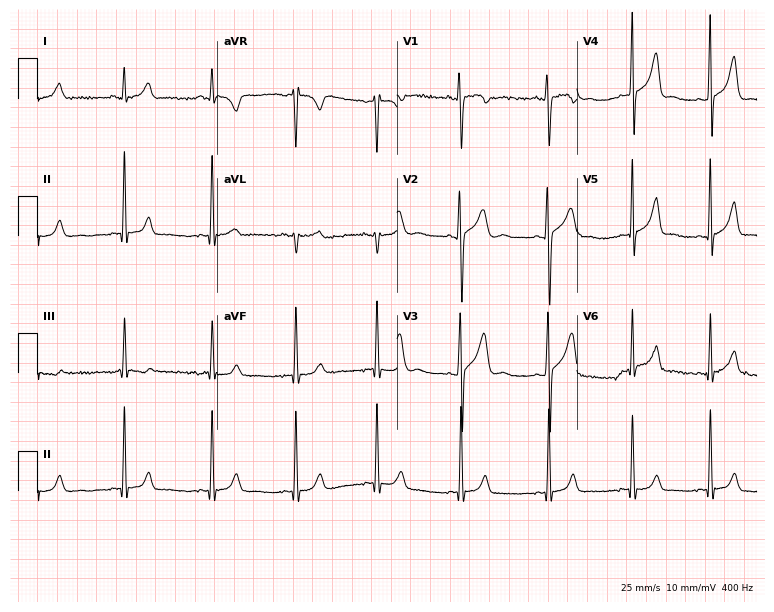
Standard 12-lead ECG recorded from a man, 18 years old. Read as a normal ECG.